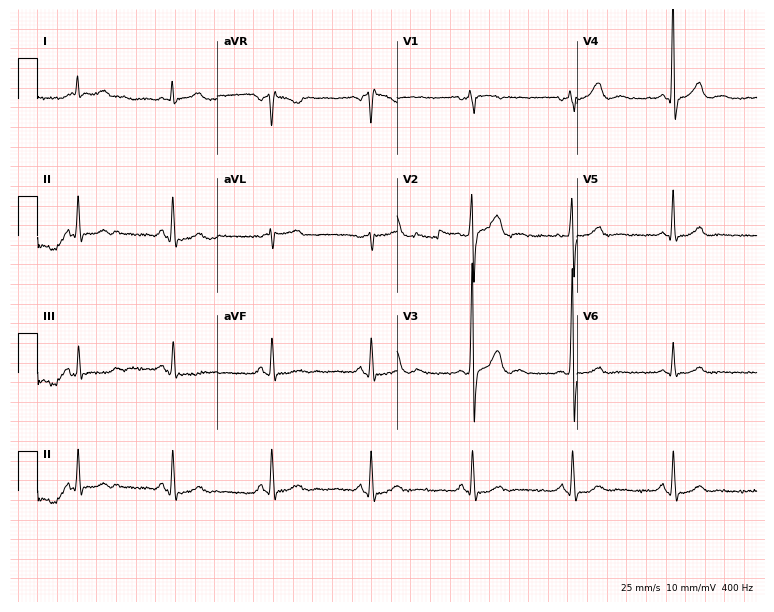
Standard 12-lead ECG recorded from a man, 69 years old (7.3-second recording at 400 Hz). Read as a normal ECG.